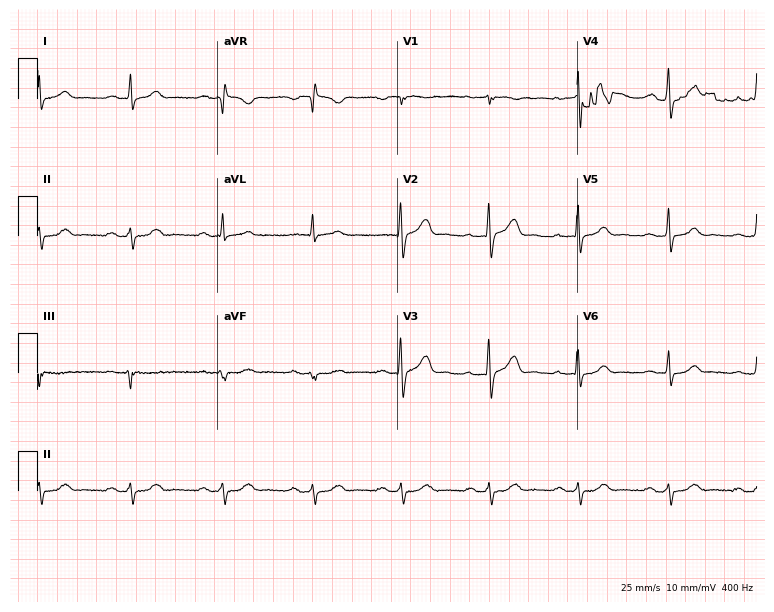
Standard 12-lead ECG recorded from a 54-year-old female. The tracing shows first-degree AV block.